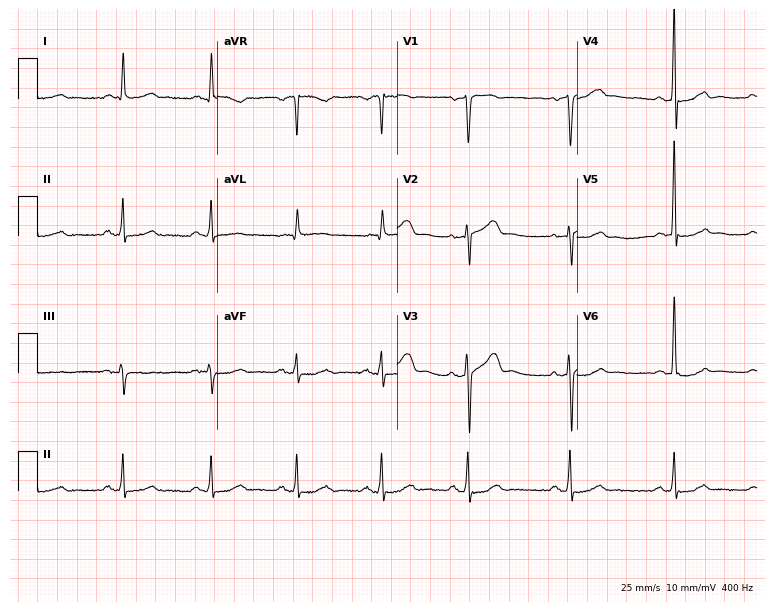
ECG (7.3-second recording at 400 Hz) — a 65-year-old male patient. Labelled as a normal ECG.